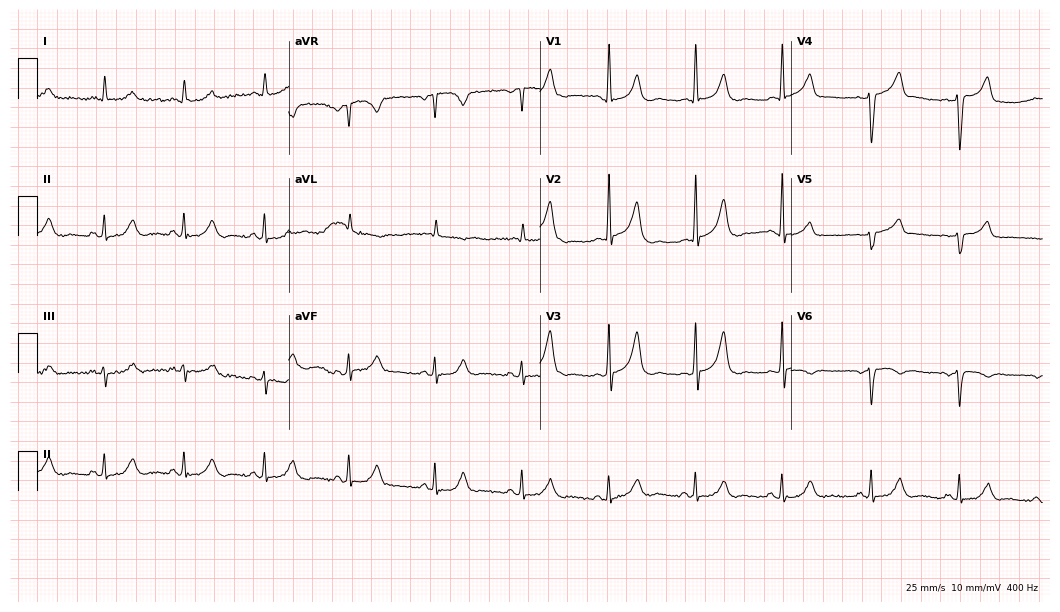
Resting 12-lead electrocardiogram. Patient: a female, 25 years old. None of these six findings is recorded: first-degree AV block, right bundle branch block, left bundle branch block, sinus bradycardia, atrial fibrillation, sinus tachycardia. Findings outside these six are not listed.